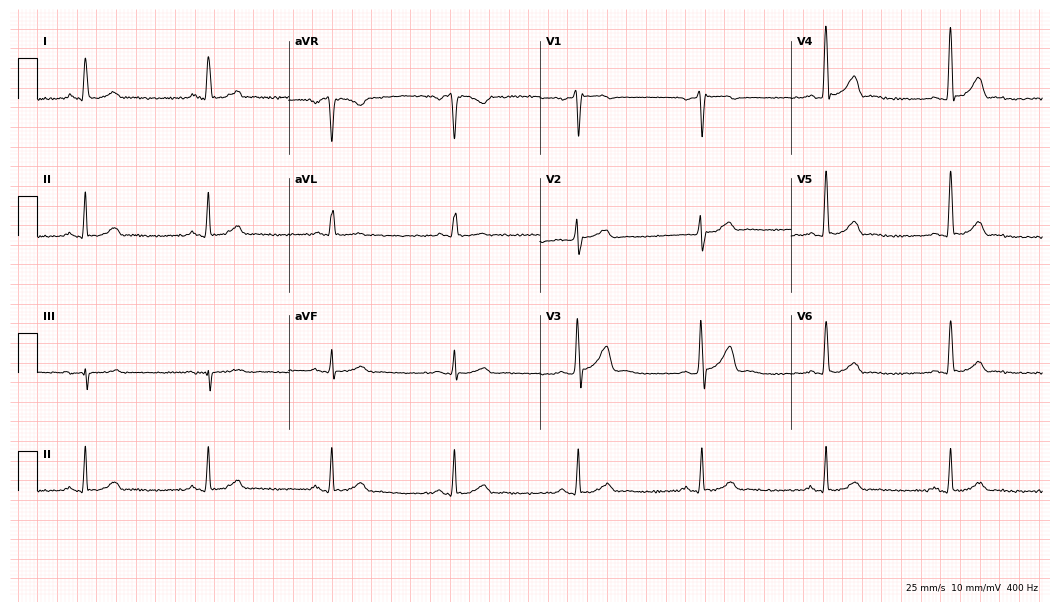
Electrocardiogram, a man, 61 years old. Interpretation includes sinus bradycardia (a sinus rate of 50 beats per minute or less).